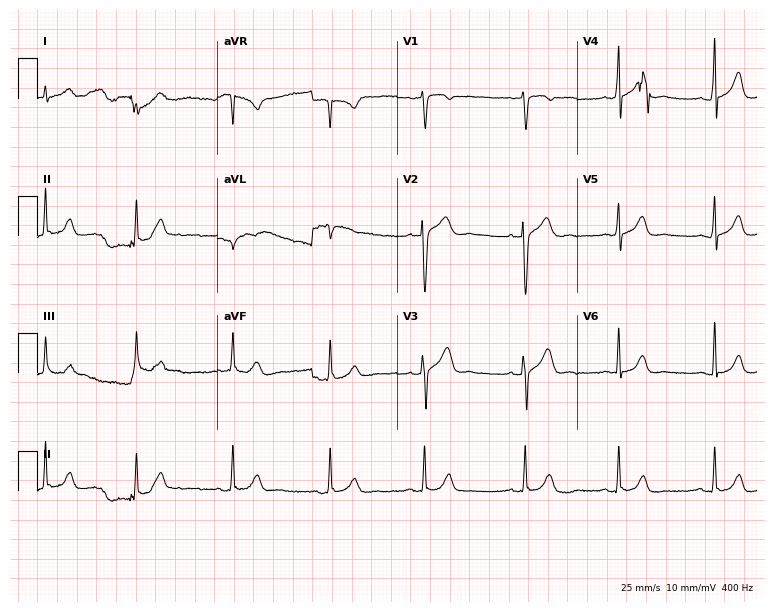
12-lead ECG from a 28-year-old male (7.3-second recording at 400 Hz). No first-degree AV block, right bundle branch block (RBBB), left bundle branch block (LBBB), sinus bradycardia, atrial fibrillation (AF) or sinus tachycardia recorded for this tracing. Other findings, if any, are not listed.